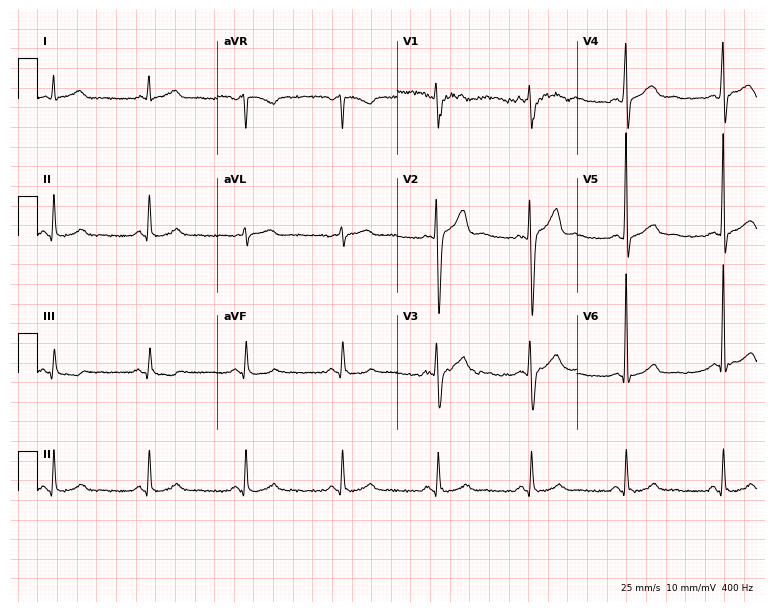
12-lead ECG from a 32-year-old male patient. Labelled as a normal ECG.